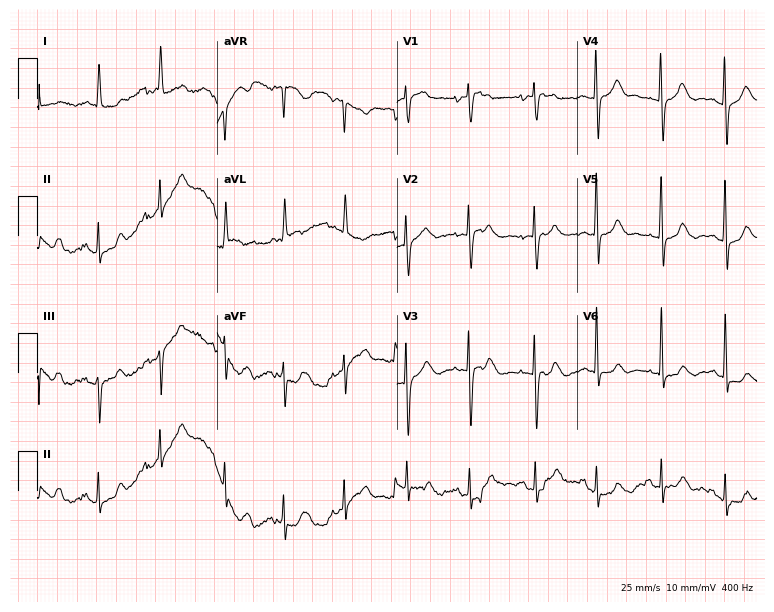
ECG — a female, 80 years old. Screened for six findings — first-degree AV block, right bundle branch block, left bundle branch block, sinus bradycardia, atrial fibrillation, sinus tachycardia — none is recorded. Findings outside these six are not listed.